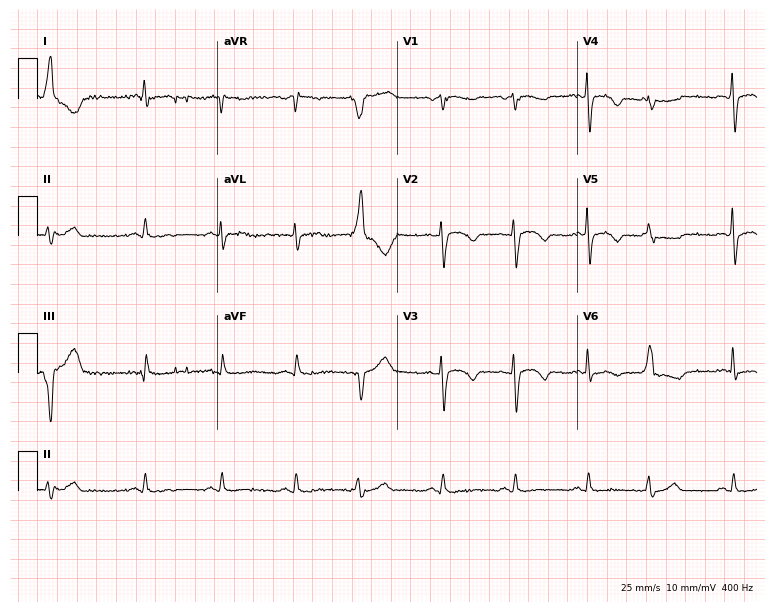
Standard 12-lead ECG recorded from a 66-year-old female. None of these six findings is recorded: first-degree AV block, right bundle branch block, left bundle branch block, sinus bradycardia, atrial fibrillation, sinus tachycardia. Only these six findings were labelled.